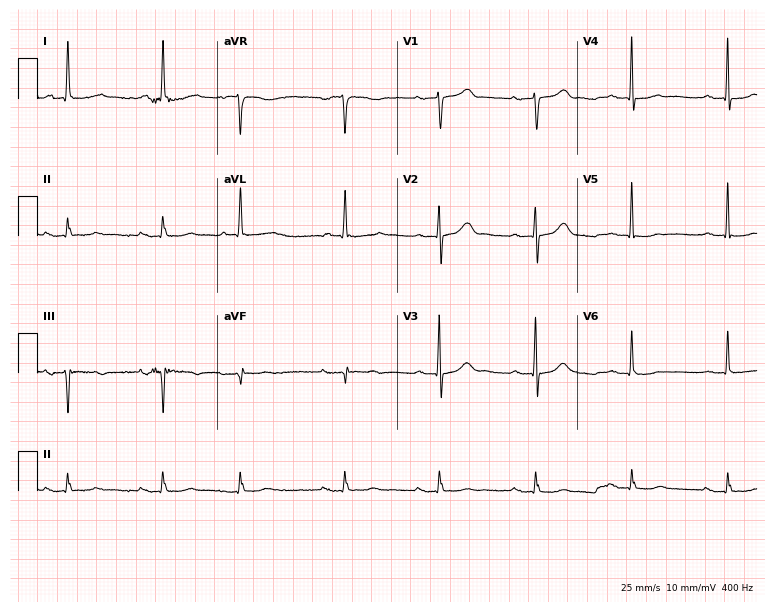
12-lead ECG from an 81-year-old woman (7.3-second recording at 400 Hz). Shows first-degree AV block.